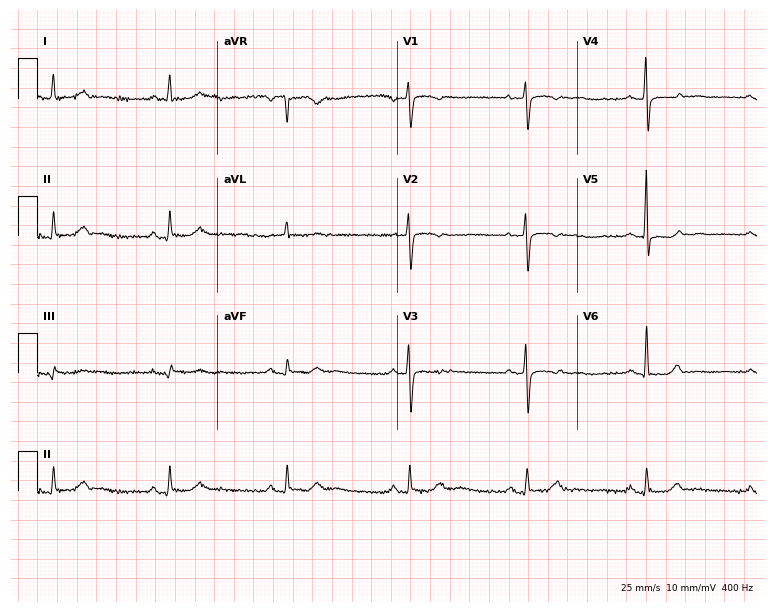
Standard 12-lead ECG recorded from a woman, 55 years old (7.3-second recording at 400 Hz). The tracing shows sinus bradycardia (a sinus rate of 50 beats per minute or less).